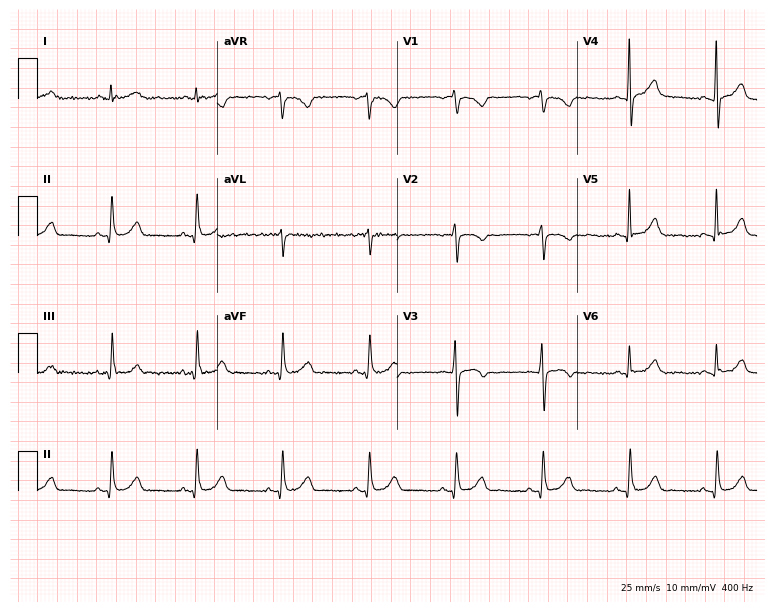
12-lead ECG from a woman, 70 years old. Screened for six findings — first-degree AV block, right bundle branch block, left bundle branch block, sinus bradycardia, atrial fibrillation, sinus tachycardia — none is recorded. Only these six findings were labelled.